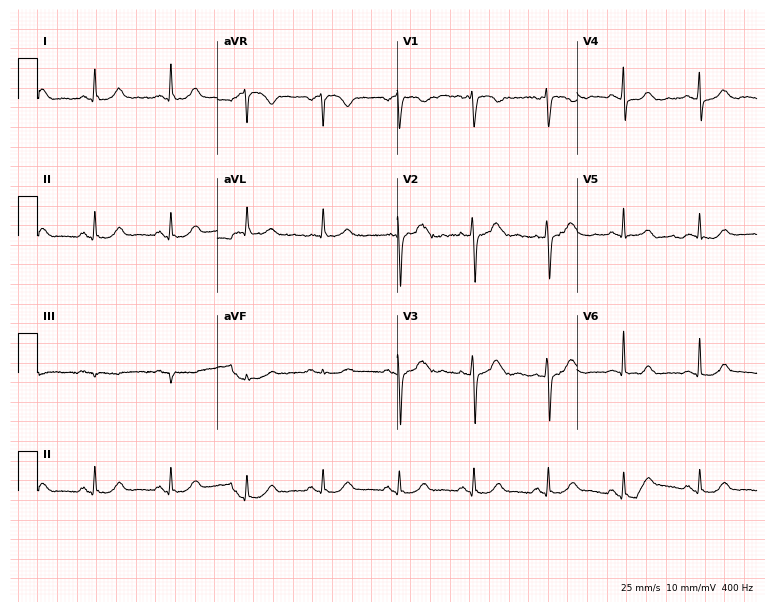
12-lead ECG (7.3-second recording at 400 Hz) from a woman, 61 years old. Screened for six findings — first-degree AV block, right bundle branch block, left bundle branch block, sinus bradycardia, atrial fibrillation, sinus tachycardia — none is recorded.